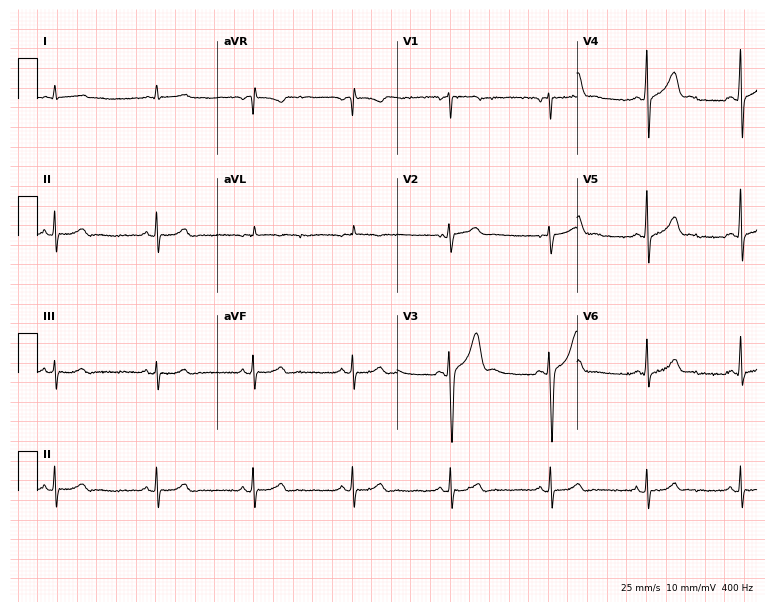
Standard 12-lead ECG recorded from a male, 20 years old. Read as a normal ECG.